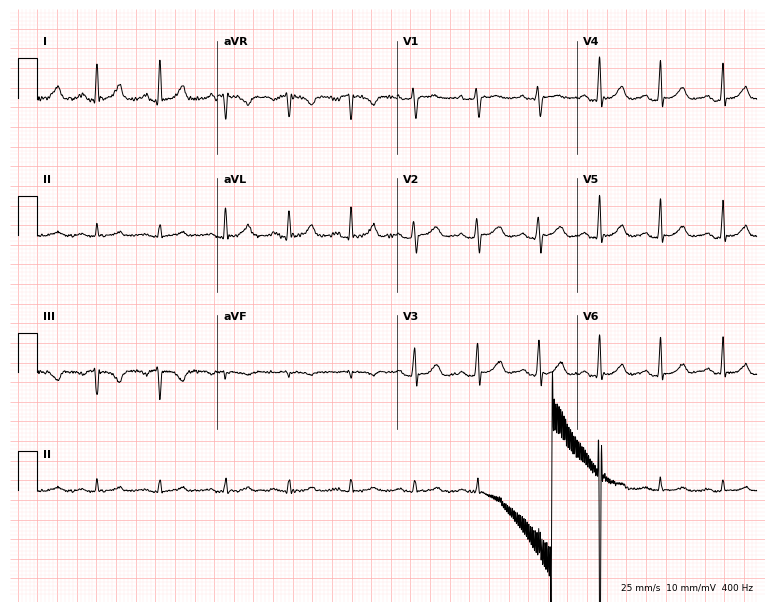
ECG (7.3-second recording at 400 Hz) — a 36-year-old woman. Screened for six findings — first-degree AV block, right bundle branch block, left bundle branch block, sinus bradycardia, atrial fibrillation, sinus tachycardia — none is recorded. Findings outside these six are not listed.